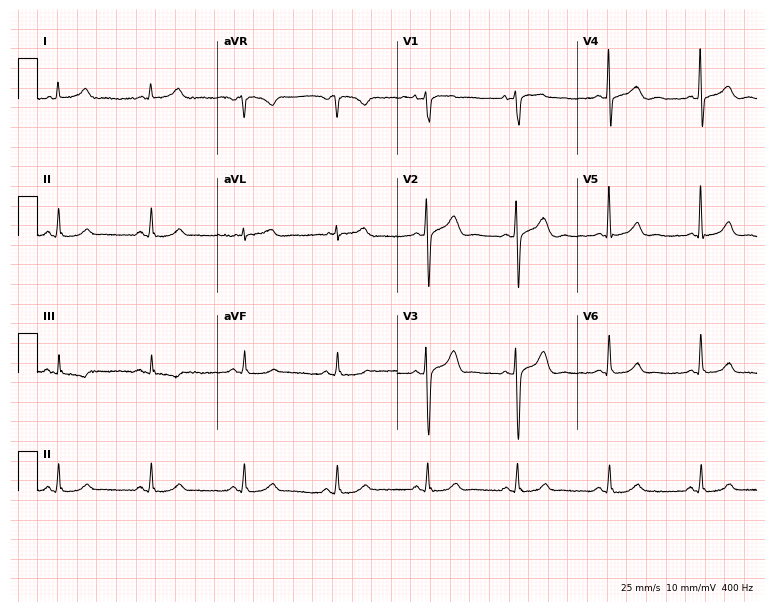
Resting 12-lead electrocardiogram (7.3-second recording at 400 Hz). Patient: a 56-year-old man. Read as a normal ECG.